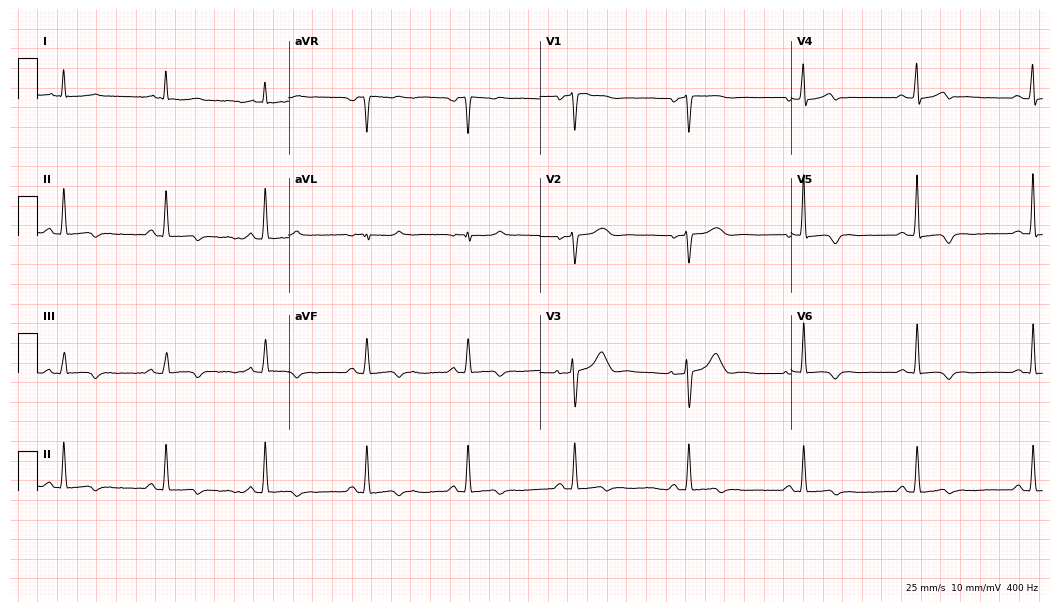
12-lead ECG from a female patient, 56 years old. Screened for six findings — first-degree AV block, right bundle branch block, left bundle branch block, sinus bradycardia, atrial fibrillation, sinus tachycardia — none is recorded. Other findings, if any, are not listed.